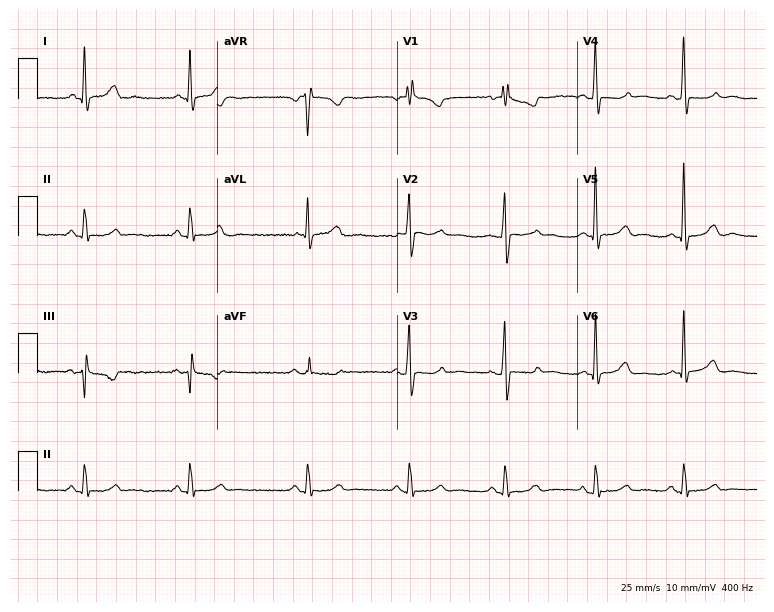
ECG (7.3-second recording at 400 Hz) — a female, 66 years old. Screened for six findings — first-degree AV block, right bundle branch block, left bundle branch block, sinus bradycardia, atrial fibrillation, sinus tachycardia — none is recorded.